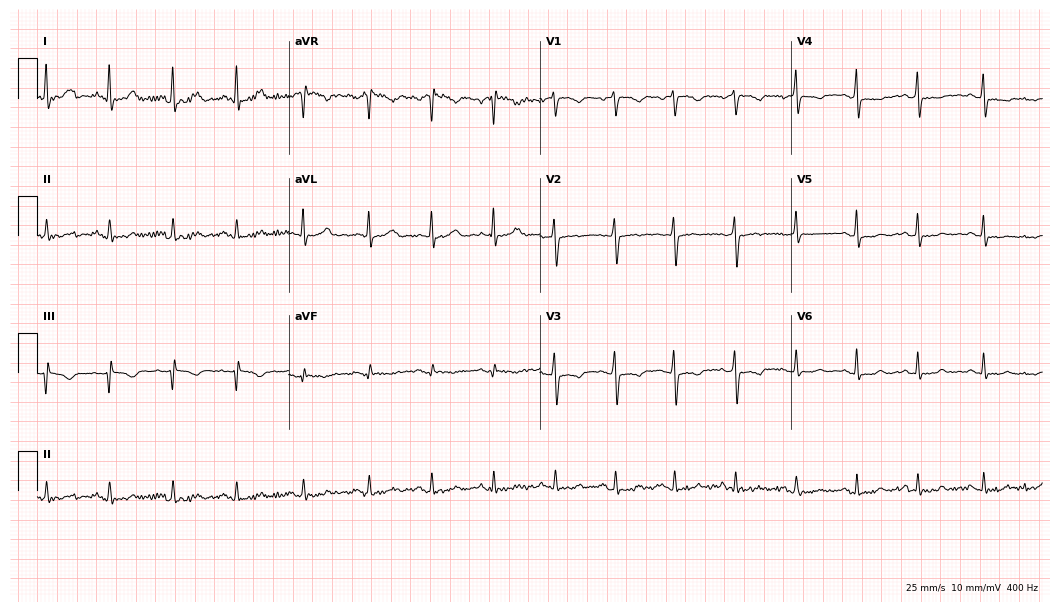
Standard 12-lead ECG recorded from a woman, 43 years old (10.2-second recording at 400 Hz). None of these six findings is recorded: first-degree AV block, right bundle branch block, left bundle branch block, sinus bradycardia, atrial fibrillation, sinus tachycardia.